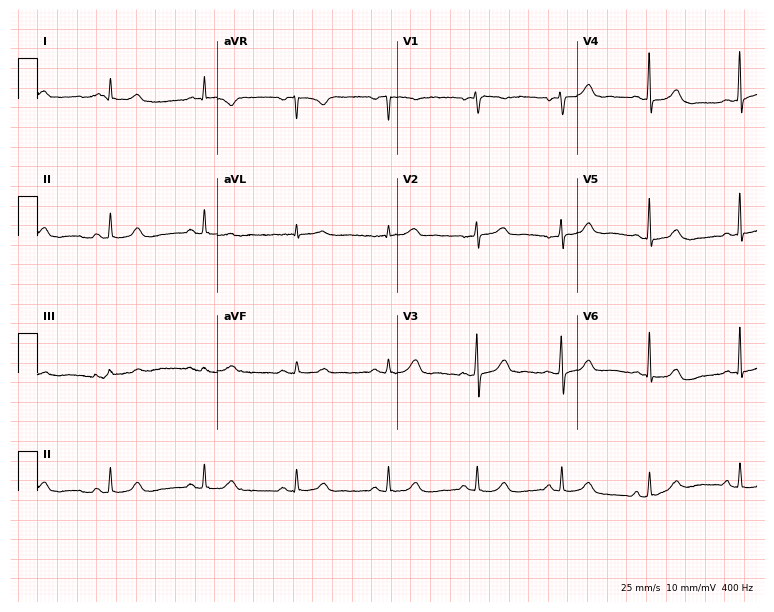
Resting 12-lead electrocardiogram. Patient: a woman, 51 years old. Read as a normal ECG.